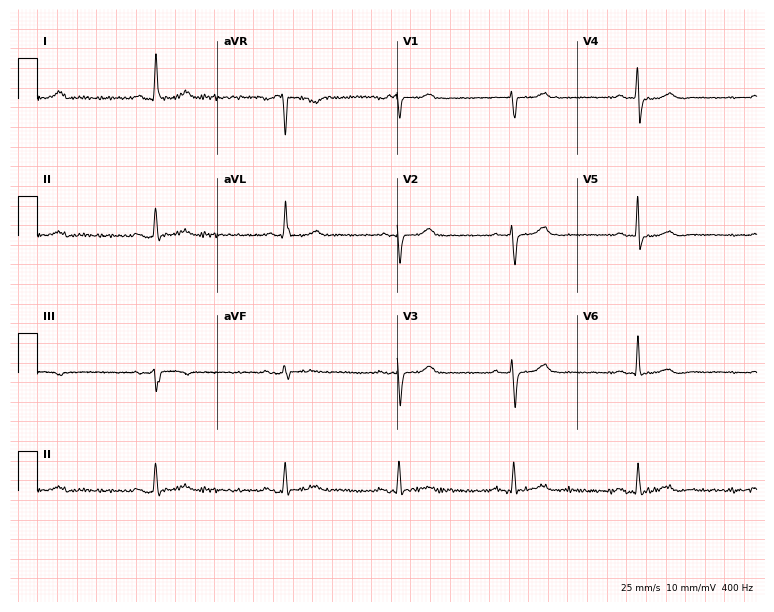
ECG — a 55-year-old female patient. Findings include sinus bradycardia (a sinus rate of 50 beats per minute or less).